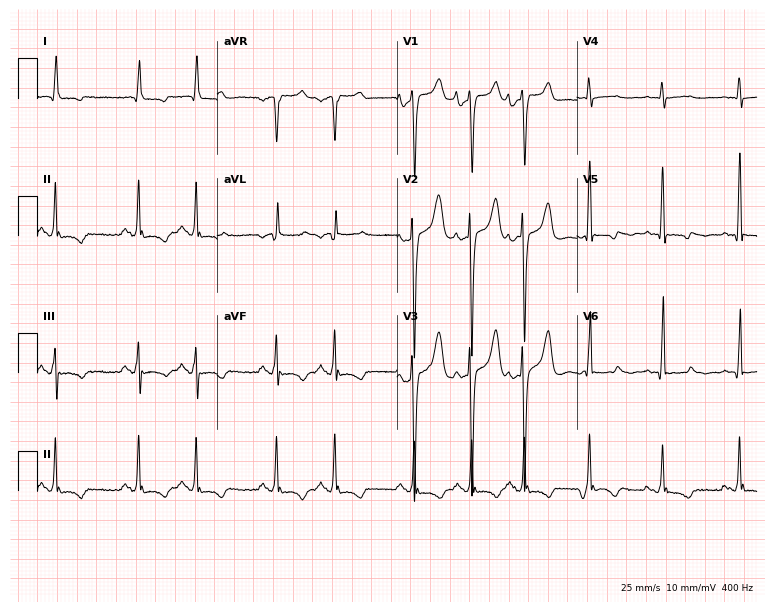
ECG — a 77-year-old male patient. Screened for six findings — first-degree AV block, right bundle branch block, left bundle branch block, sinus bradycardia, atrial fibrillation, sinus tachycardia — none is recorded. Findings outside these six are not listed.